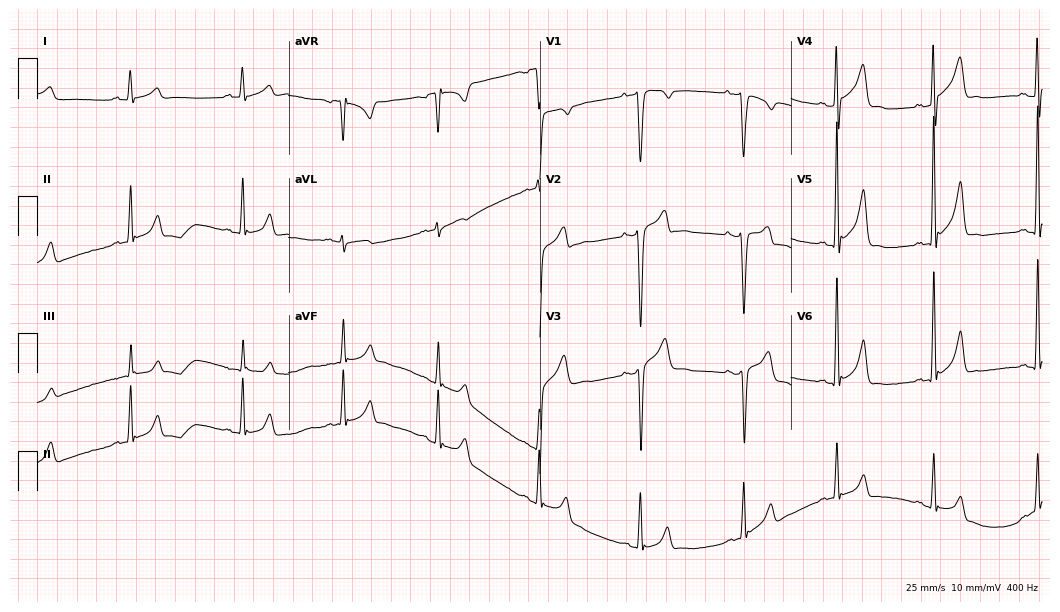
ECG (10.2-second recording at 400 Hz) — a male patient, 19 years old. Screened for six findings — first-degree AV block, right bundle branch block, left bundle branch block, sinus bradycardia, atrial fibrillation, sinus tachycardia — none is recorded.